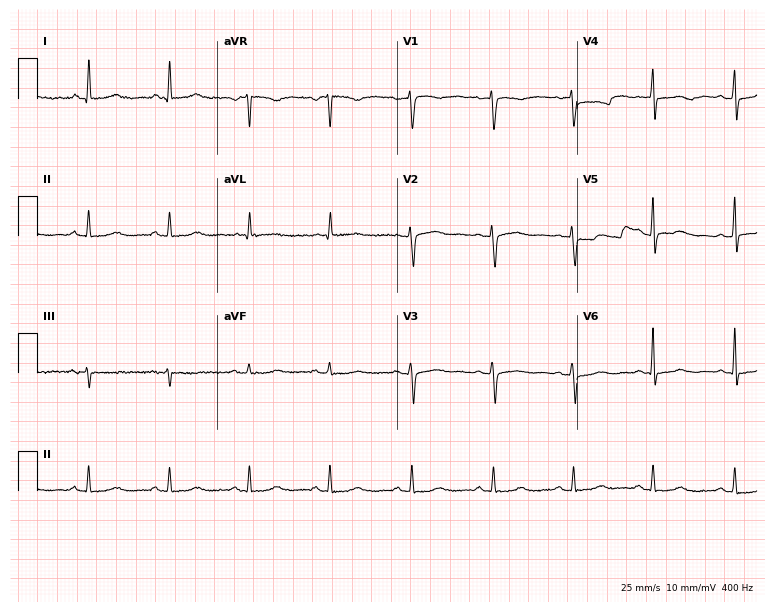
12-lead ECG from a female, 60 years old. Labelled as a normal ECG.